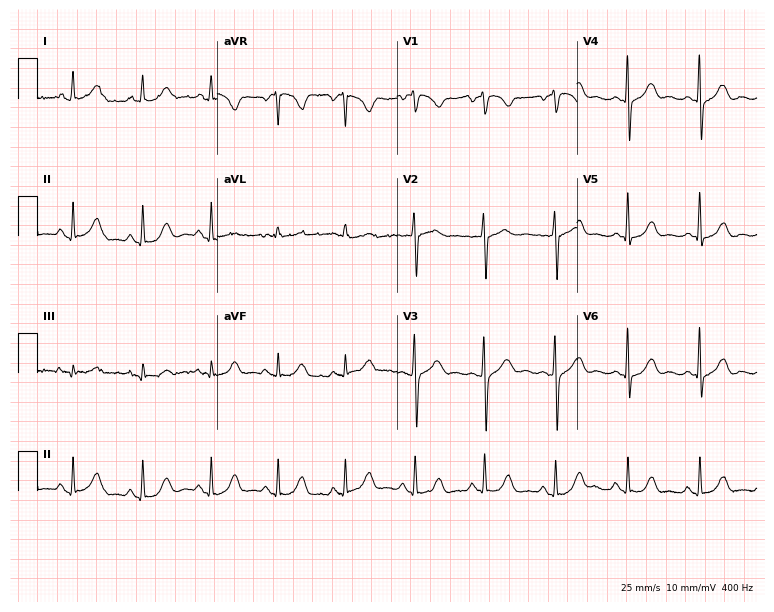
Electrocardiogram (7.3-second recording at 400 Hz), a female, 61 years old. Of the six screened findings (first-degree AV block, right bundle branch block, left bundle branch block, sinus bradycardia, atrial fibrillation, sinus tachycardia), none is recorded.